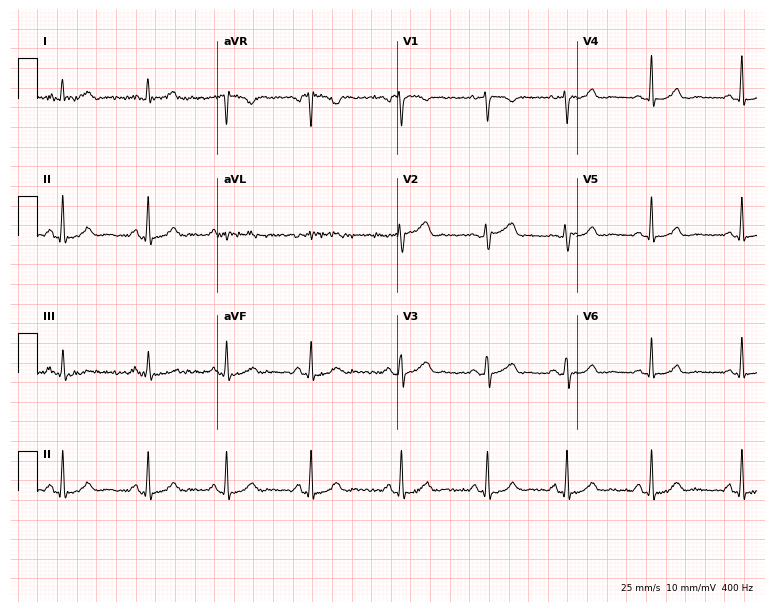
Electrocardiogram, a woman, 32 years old. Overall reading on record: normal ECG.